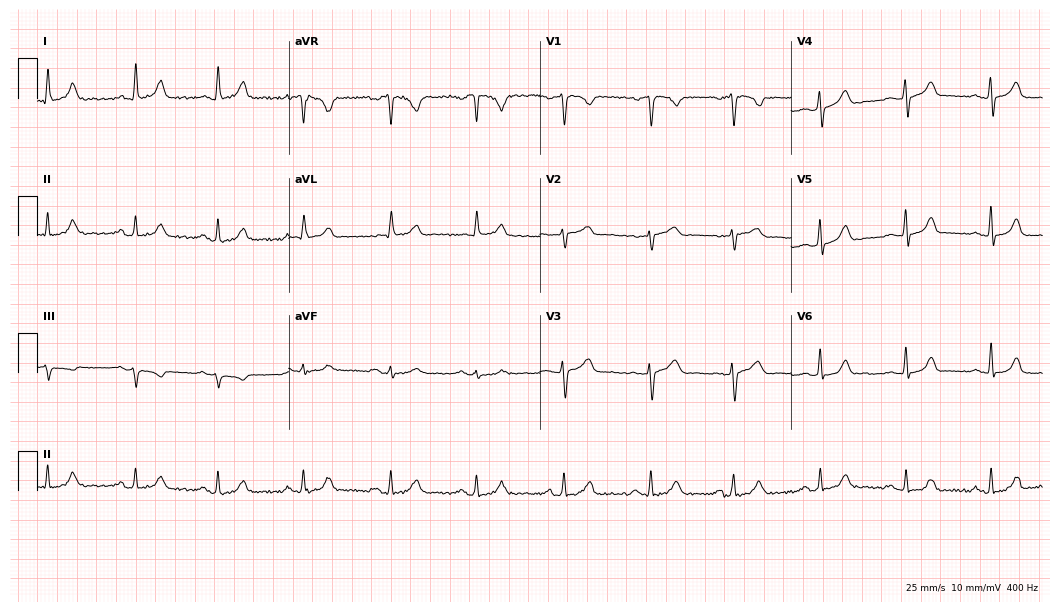
Standard 12-lead ECG recorded from a female, 43 years old (10.2-second recording at 400 Hz). Read as a normal ECG.